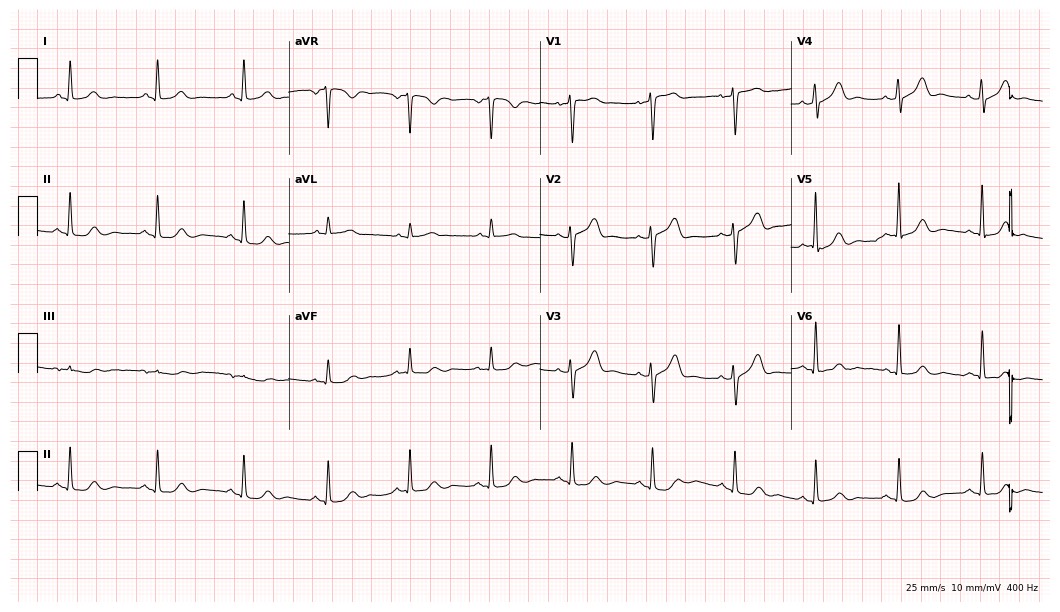
ECG — a female, 55 years old. Labelled as a normal ECG.